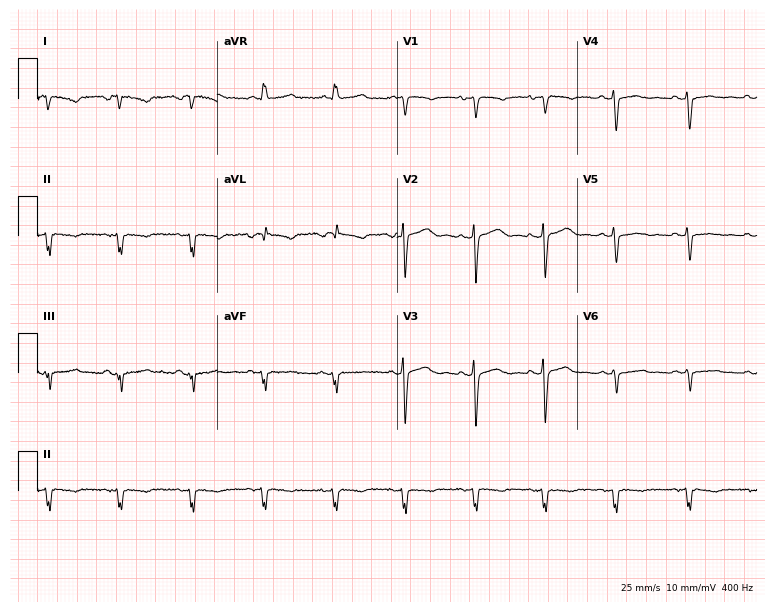
ECG — a 38-year-old female. Screened for six findings — first-degree AV block, right bundle branch block, left bundle branch block, sinus bradycardia, atrial fibrillation, sinus tachycardia — none is recorded. Findings outside these six are not listed.